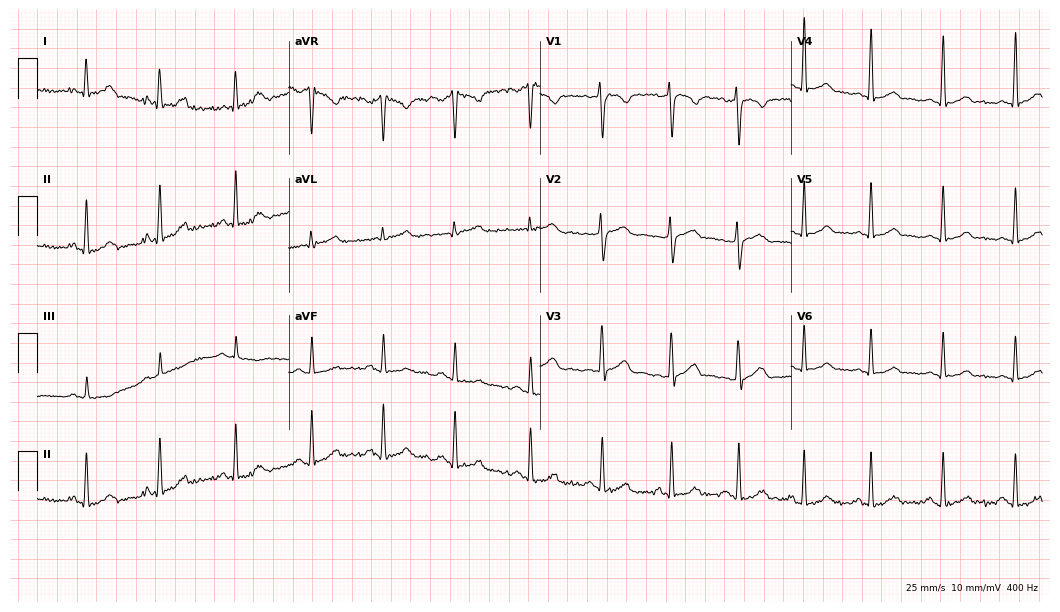
12-lead ECG from a female, 87 years old (10.2-second recording at 400 Hz). Recorded interpretation: within normal limits.